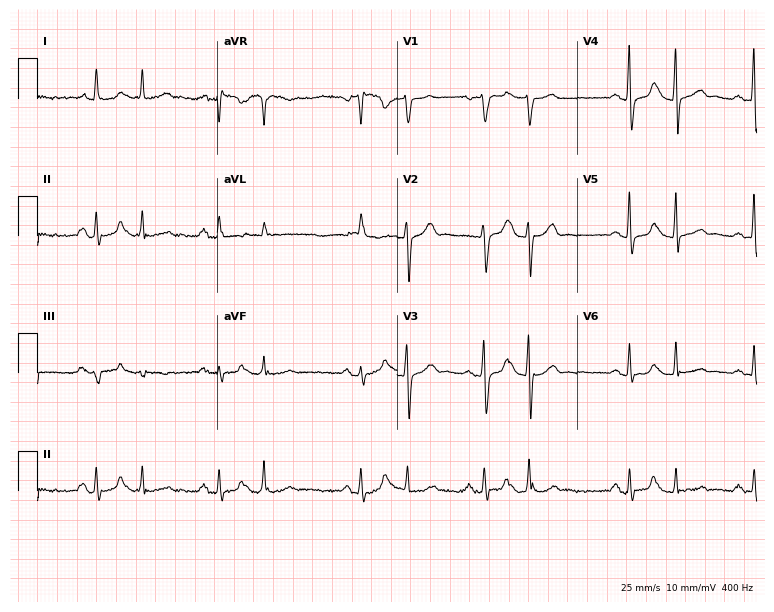
Electrocardiogram, a 78-year-old female. Interpretation includes first-degree AV block.